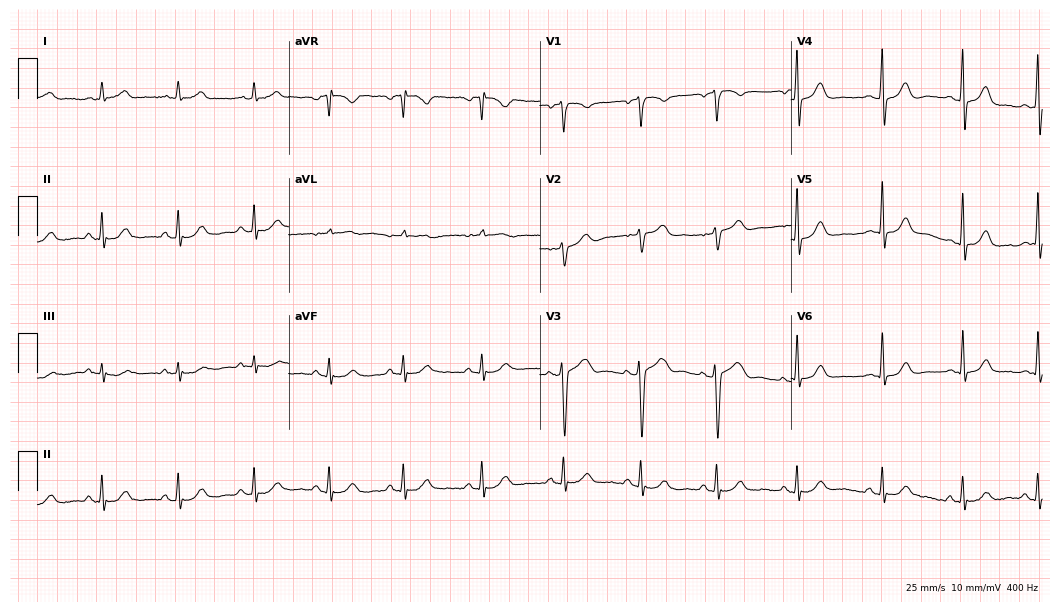
ECG (10.2-second recording at 400 Hz) — a male, 48 years old. Labelled as a normal ECG.